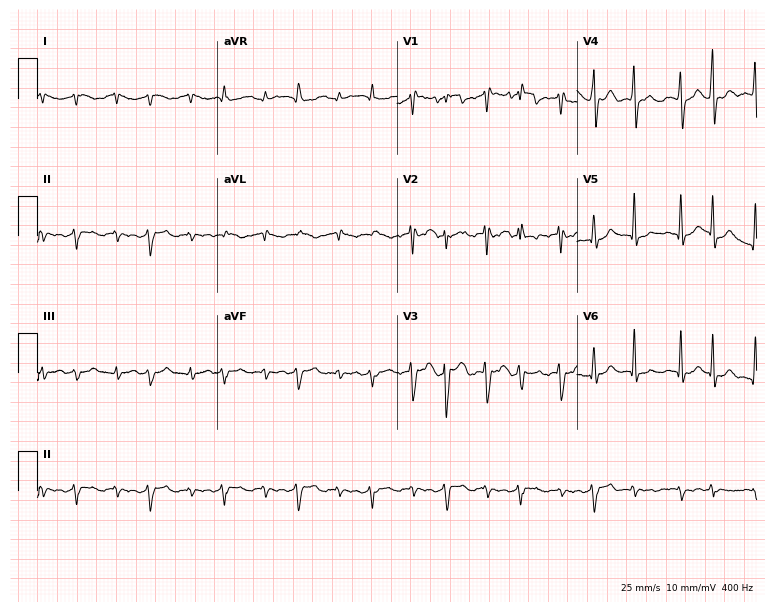
12-lead ECG from a 21-year-old male patient. Screened for six findings — first-degree AV block, right bundle branch block, left bundle branch block, sinus bradycardia, atrial fibrillation, sinus tachycardia — none is recorded. Only these six findings were labelled.